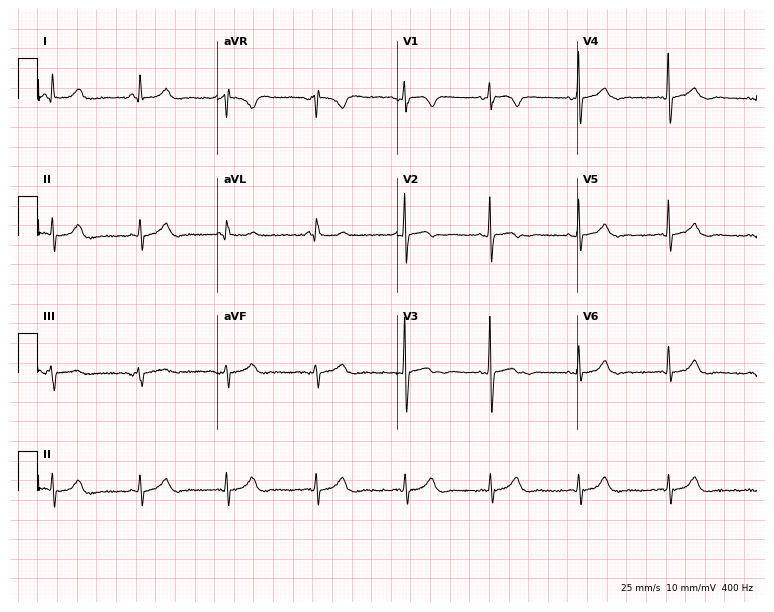
12-lead ECG (7.3-second recording at 400 Hz) from a female patient, 50 years old. Screened for six findings — first-degree AV block, right bundle branch block, left bundle branch block, sinus bradycardia, atrial fibrillation, sinus tachycardia — none is recorded. Findings outside these six are not listed.